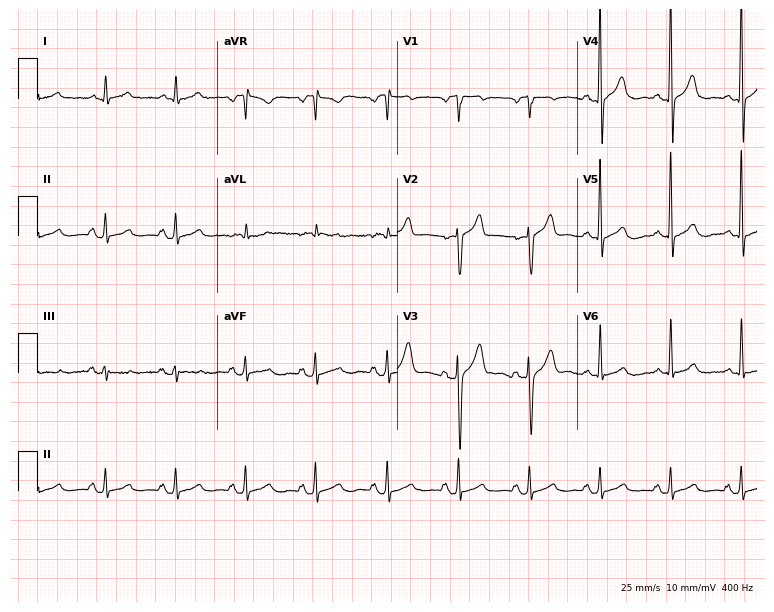
Electrocardiogram (7.3-second recording at 400 Hz), a man, 49 years old. Of the six screened findings (first-degree AV block, right bundle branch block, left bundle branch block, sinus bradycardia, atrial fibrillation, sinus tachycardia), none is recorded.